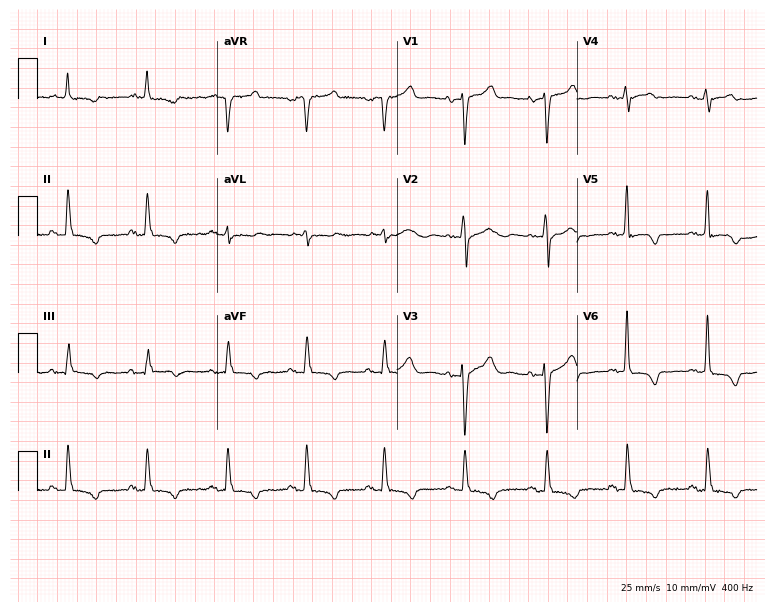
ECG — a woman, 79 years old. Screened for six findings — first-degree AV block, right bundle branch block (RBBB), left bundle branch block (LBBB), sinus bradycardia, atrial fibrillation (AF), sinus tachycardia — none is recorded.